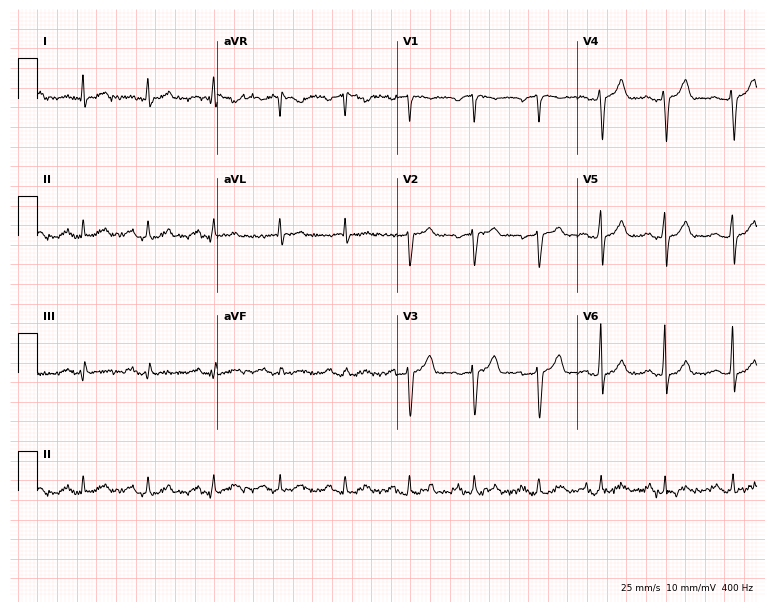
12-lead ECG from a man, 52 years old (7.3-second recording at 400 Hz). No first-degree AV block, right bundle branch block, left bundle branch block, sinus bradycardia, atrial fibrillation or sinus tachycardia recorded for this tracing. Other findings, if any, are not listed.